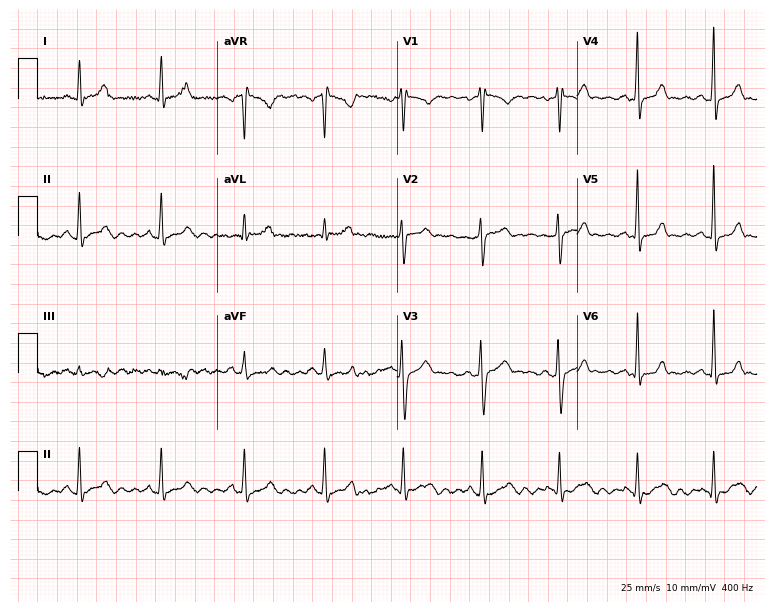
Electrocardiogram (7.3-second recording at 400 Hz), a 25-year-old woman. Of the six screened findings (first-degree AV block, right bundle branch block, left bundle branch block, sinus bradycardia, atrial fibrillation, sinus tachycardia), none is recorded.